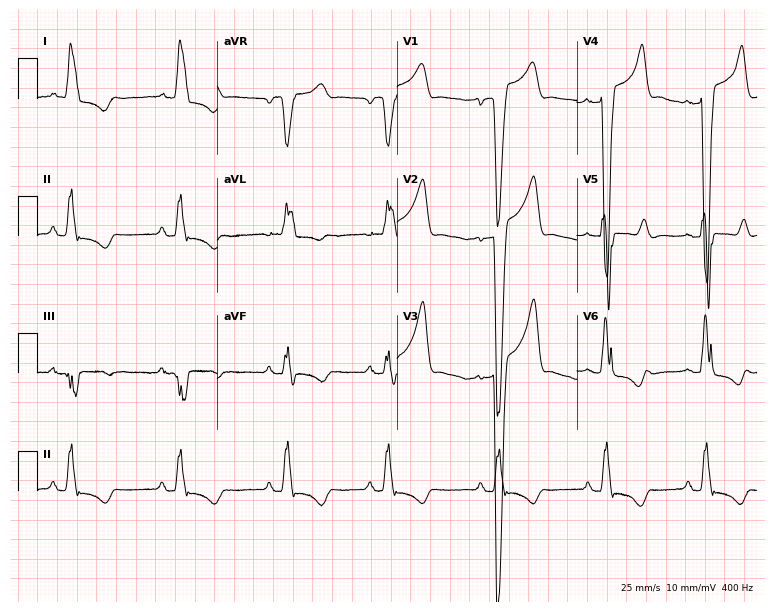
Resting 12-lead electrocardiogram. Patient: a female, 62 years old. The tracing shows left bundle branch block.